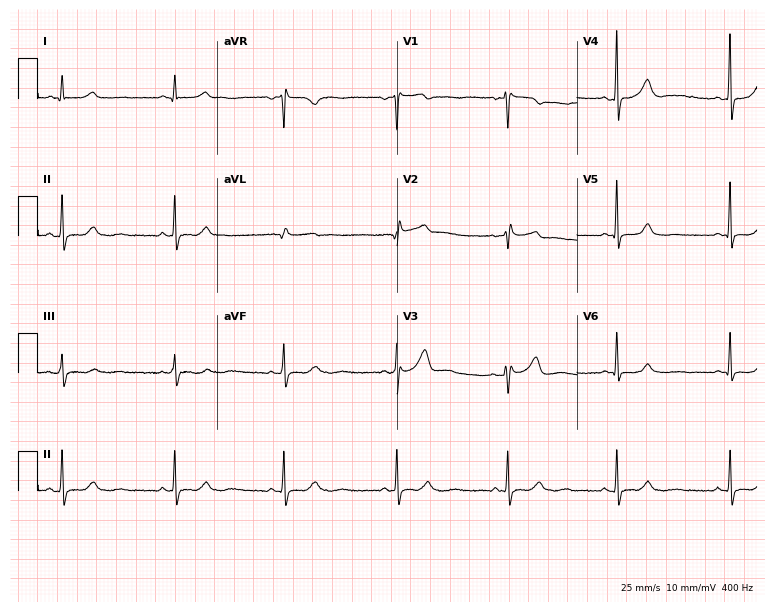
Standard 12-lead ECG recorded from a 45-year-old female. None of these six findings is recorded: first-degree AV block, right bundle branch block, left bundle branch block, sinus bradycardia, atrial fibrillation, sinus tachycardia. Other findings, if any, are not listed.